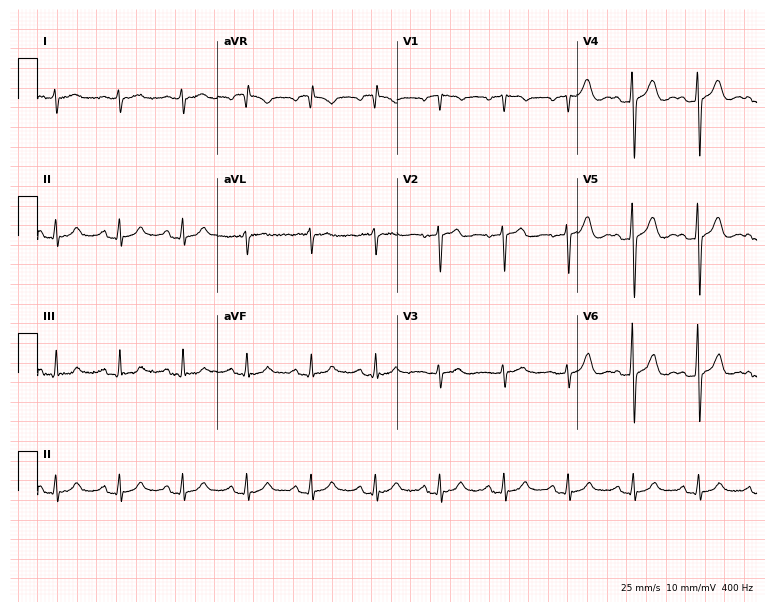
12-lead ECG from a 52-year-old male. Labelled as a normal ECG.